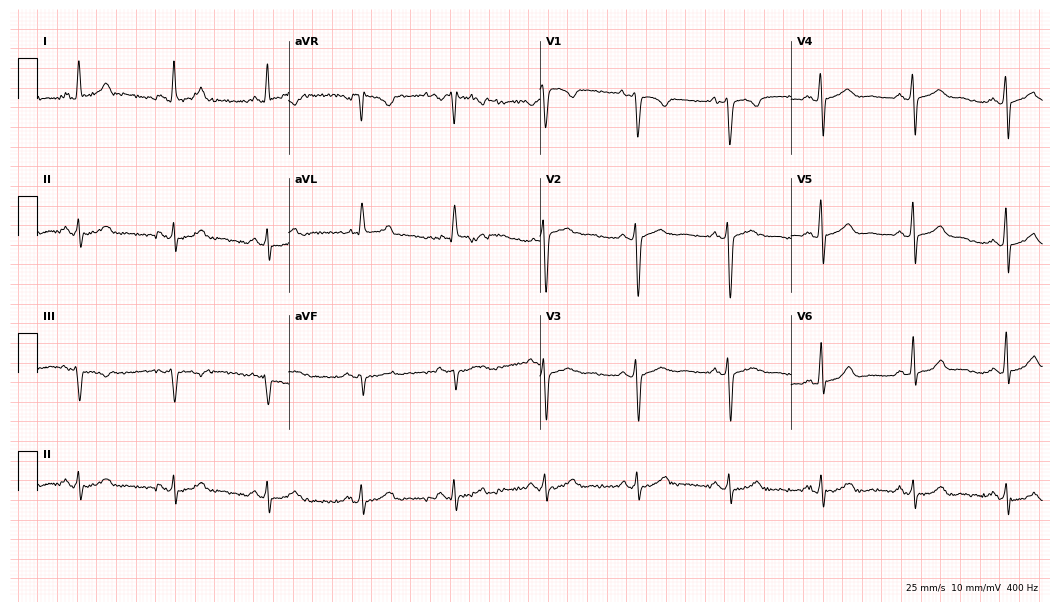
Standard 12-lead ECG recorded from a female, 48 years old. Read as a normal ECG.